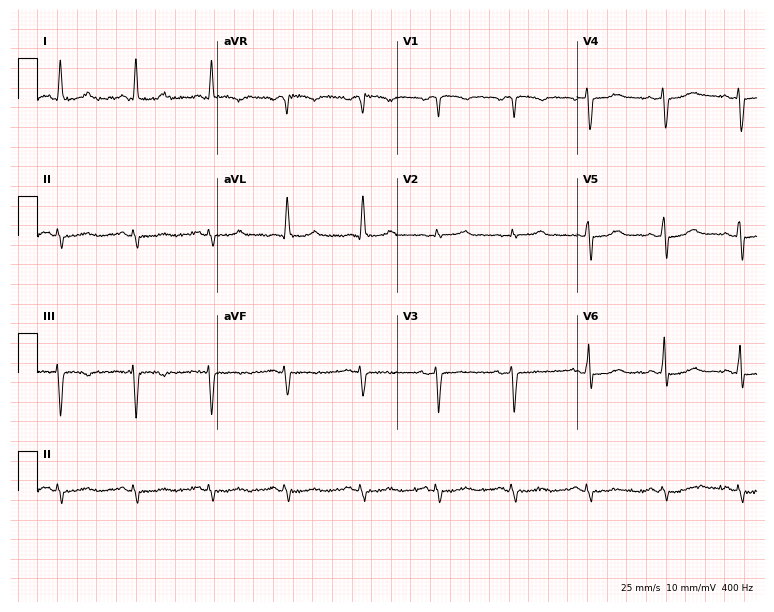
12-lead ECG from a female patient, 77 years old. No first-degree AV block, right bundle branch block, left bundle branch block, sinus bradycardia, atrial fibrillation or sinus tachycardia recorded for this tracing. Only these six findings were labelled.